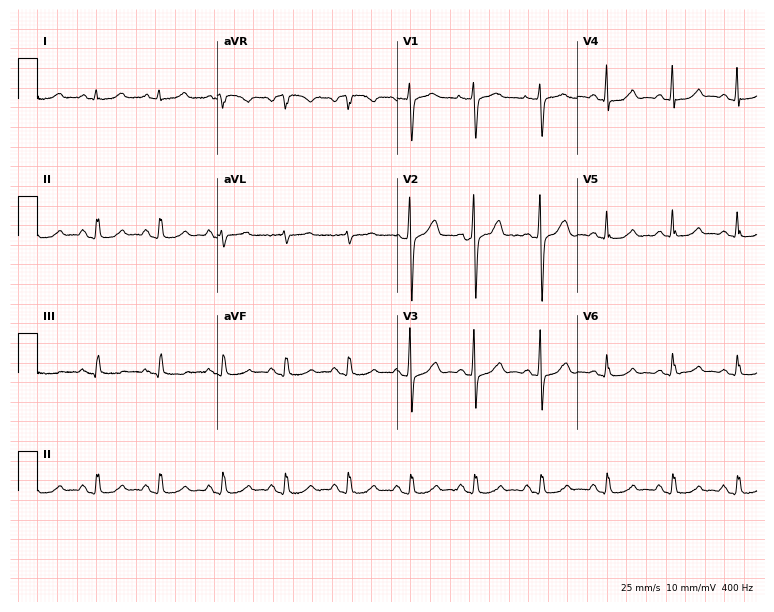
ECG (7.3-second recording at 400 Hz) — a 56-year-old woman. Labelled as a normal ECG.